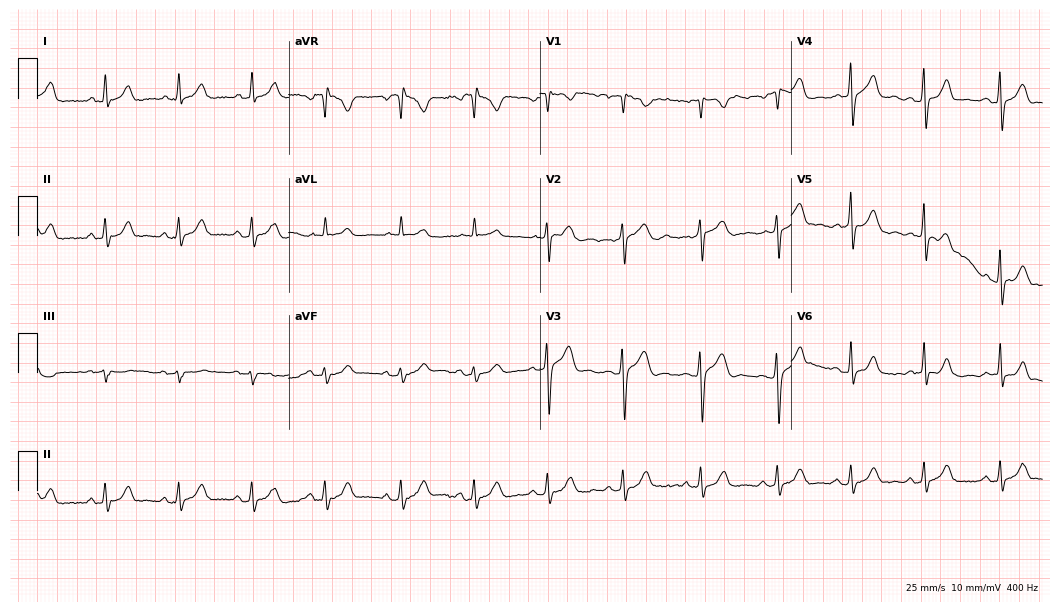
12-lead ECG from a 26-year-old female patient. Recorded interpretation: within normal limits.